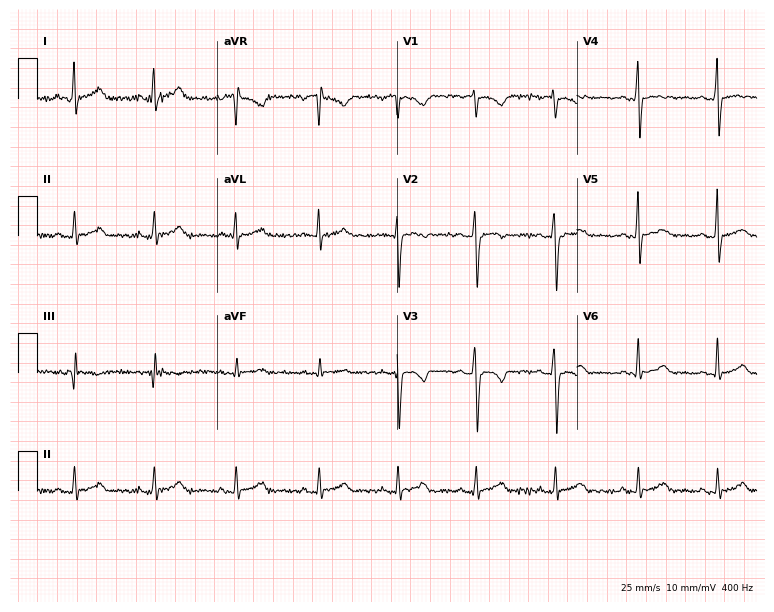
Standard 12-lead ECG recorded from a woman, 35 years old (7.3-second recording at 400 Hz). Read as a normal ECG.